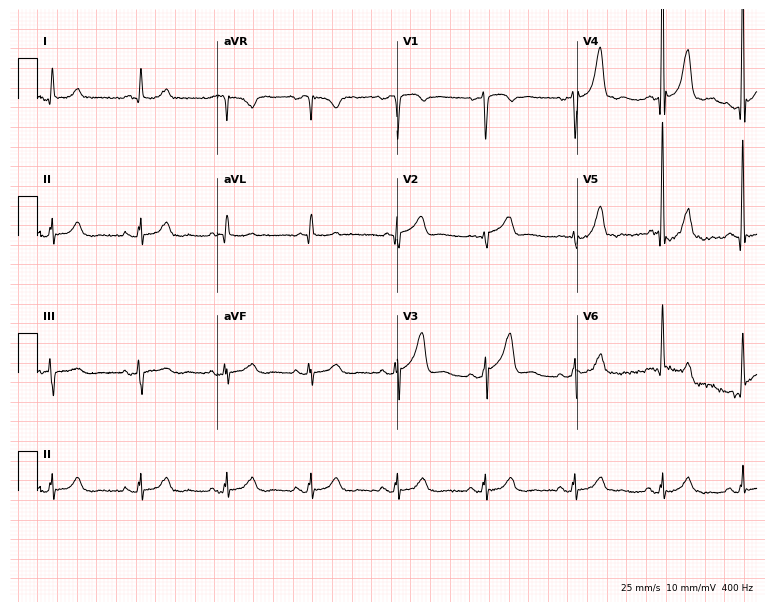
Electrocardiogram (7.3-second recording at 400 Hz), a female, 57 years old. Of the six screened findings (first-degree AV block, right bundle branch block (RBBB), left bundle branch block (LBBB), sinus bradycardia, atrial fibrillation (AF), sinus tachycardia), none is recorded. Only these six findings were labelled.